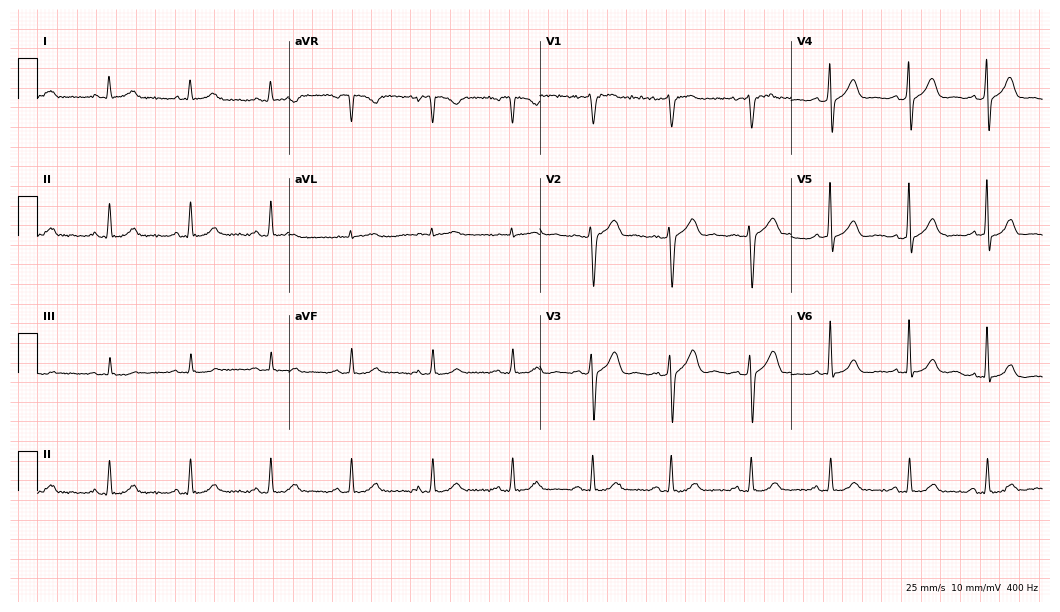
Standard 12-lead ECG recorded from a 64-year-old male patient (10.2-second recording at 400 Hz). Read as a normal ECG.